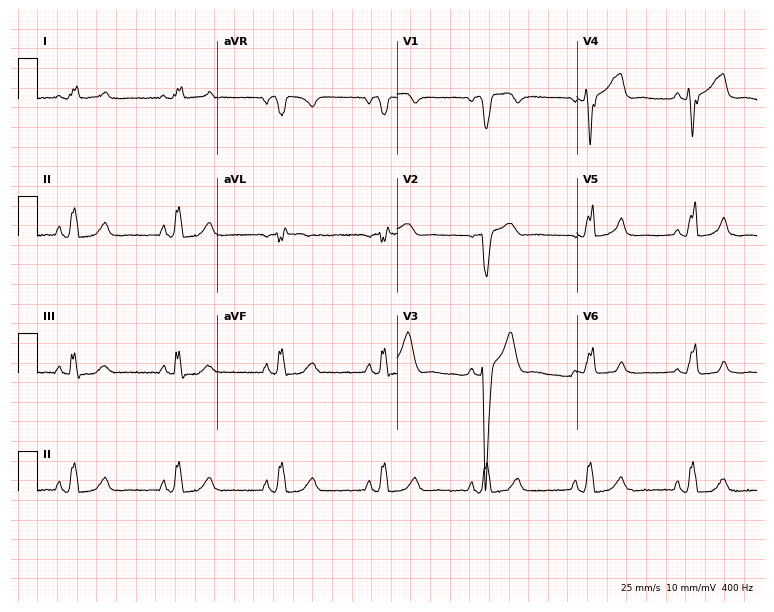
12-lead ECG from a 71-year-old man. Findings include left bundle branch block.